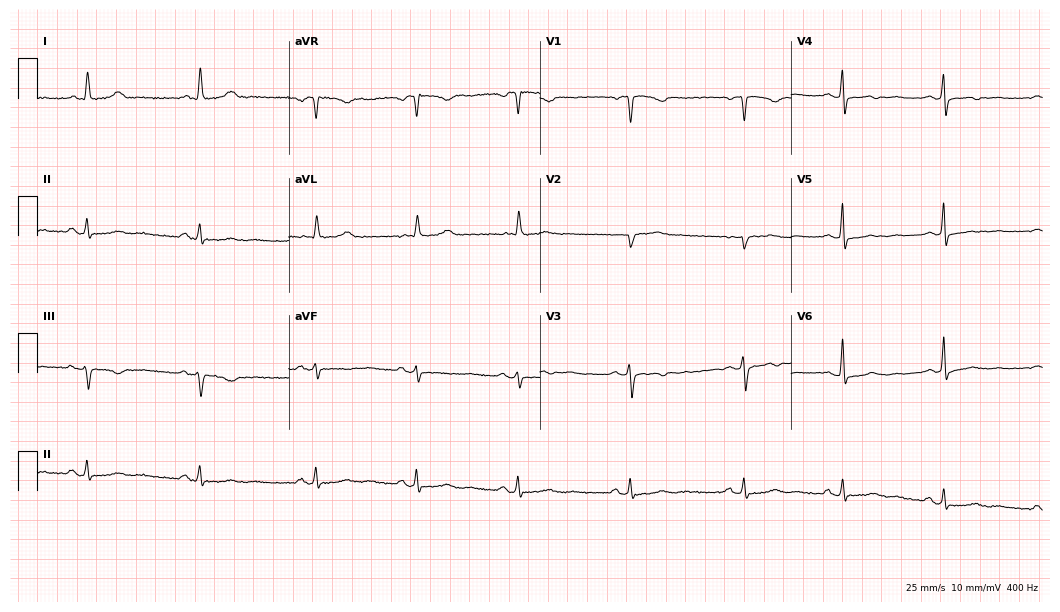
12-lead ECG from a 44-year-old female (10.2-second recording at 400 Hz). No first-degree AV block, right bundle branch block (RBBB), left bundle branch block (LBBB), sinus bradycardia, atrial fibrillation (AF) or sinus tachycardia recorded for this tracing.